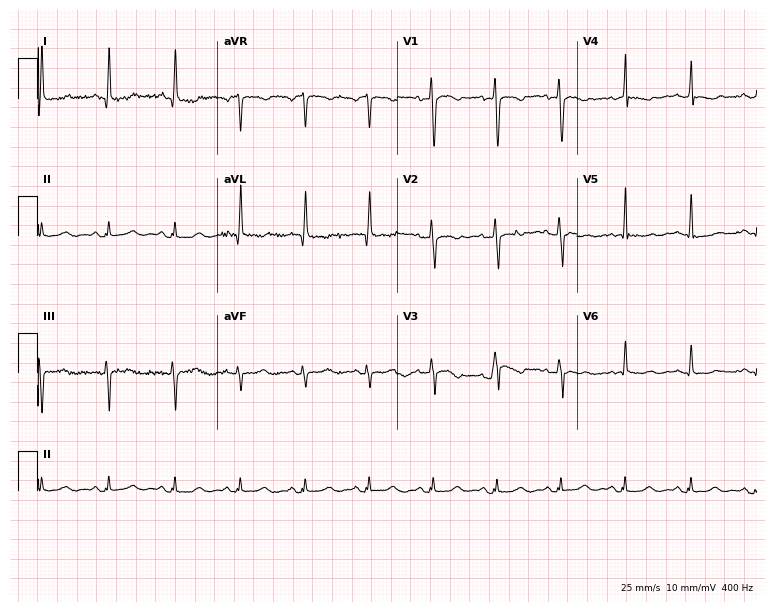
12-lead ECG (7.3-second recording at 400 Hz) from a woman, 50 years old. Screened for six findings — first-degree AV block, right bundle branch block, left bundle branch block, sinus bradycardia, atrial fibrillation, sinus tachycardia — none is recorded.